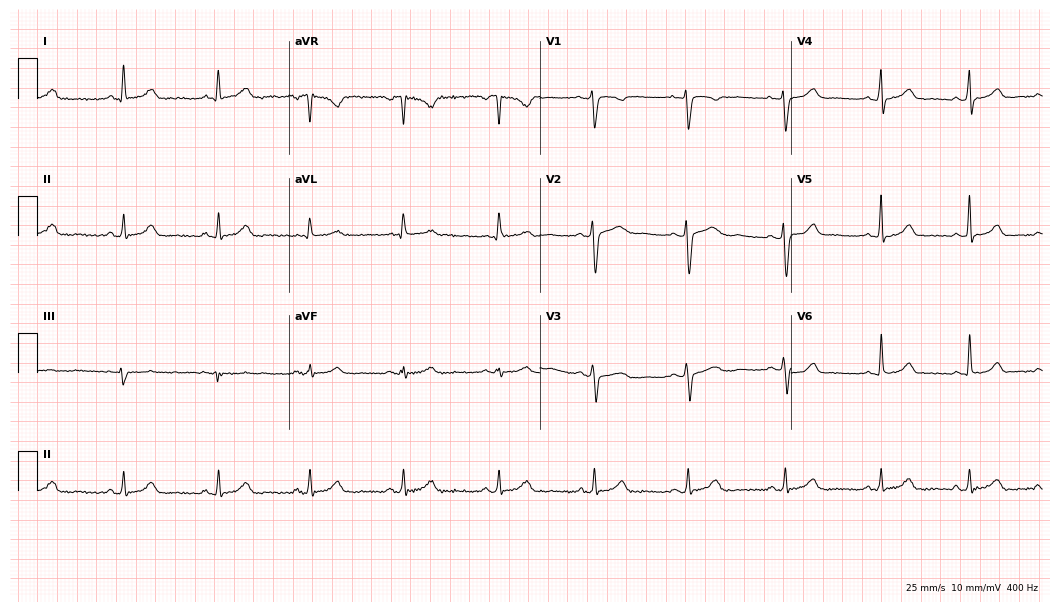
12-lead ECG from a 48-year-old female patient. No first-degree AV block, right bundle branch block, left bundle branch block, sinus bradycardia, atrial fibrillation or sinus tachycardia recorded for this tracing.